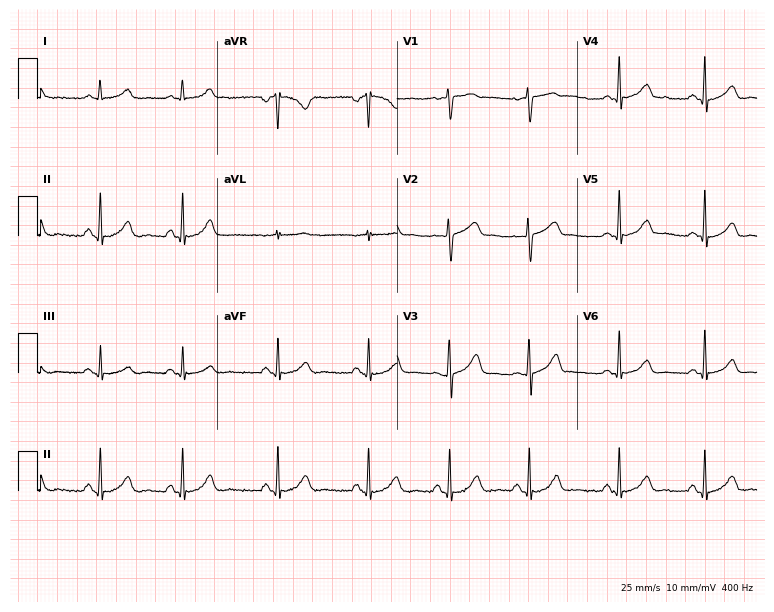
Electrocardiogram (7.3-second recording at 400 Hz), a woman, 48 years old. Overall reading on record: normal ECG.